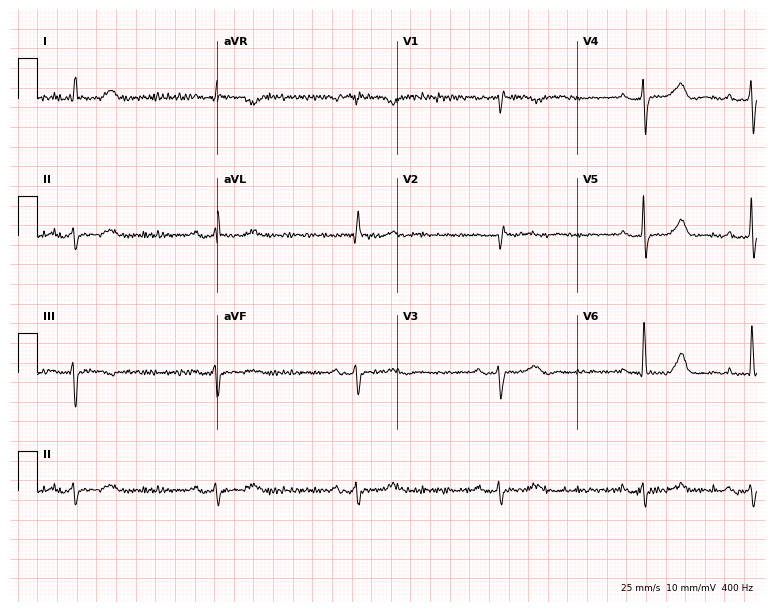
Electrocardiogram (7.3-second recording at 400 Hz), a male, 80 years old. Interpretation includes first-degree AV block, sinus bradycardia (a sinus rate of 50 beats per minute or less).